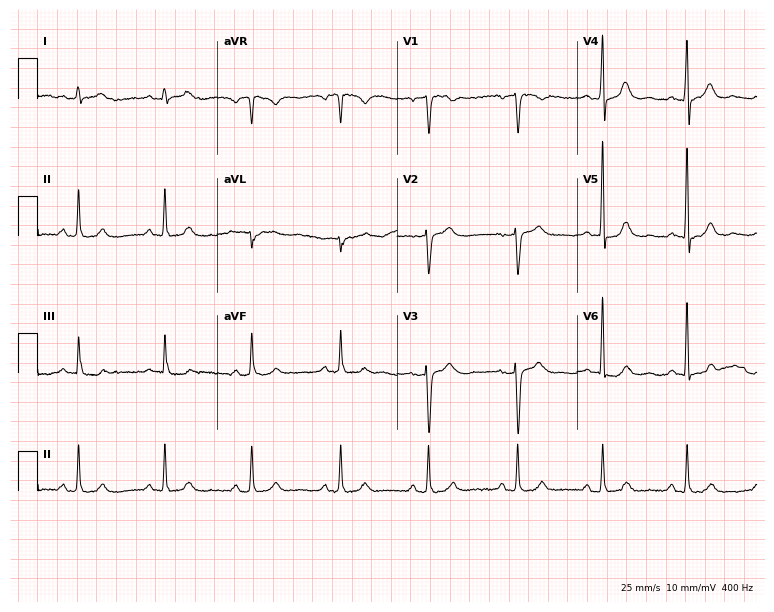
Standard 12-lead ECG recorded from a woman, 37 years old. Read as a normal ECG.